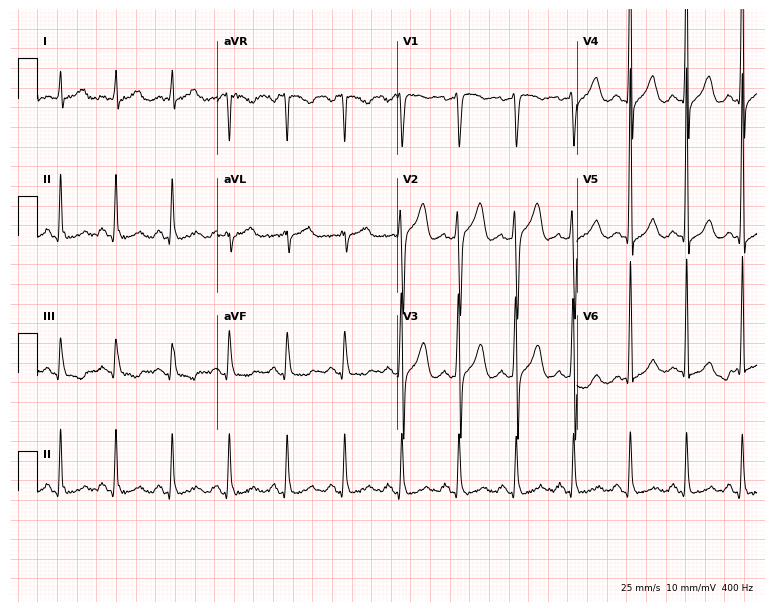
ECG (7.3-second recording at 400 Hz) — a 45-year-old male. Findings include sinus tachycardia (a sinus rate of 100 beats per minute or more).